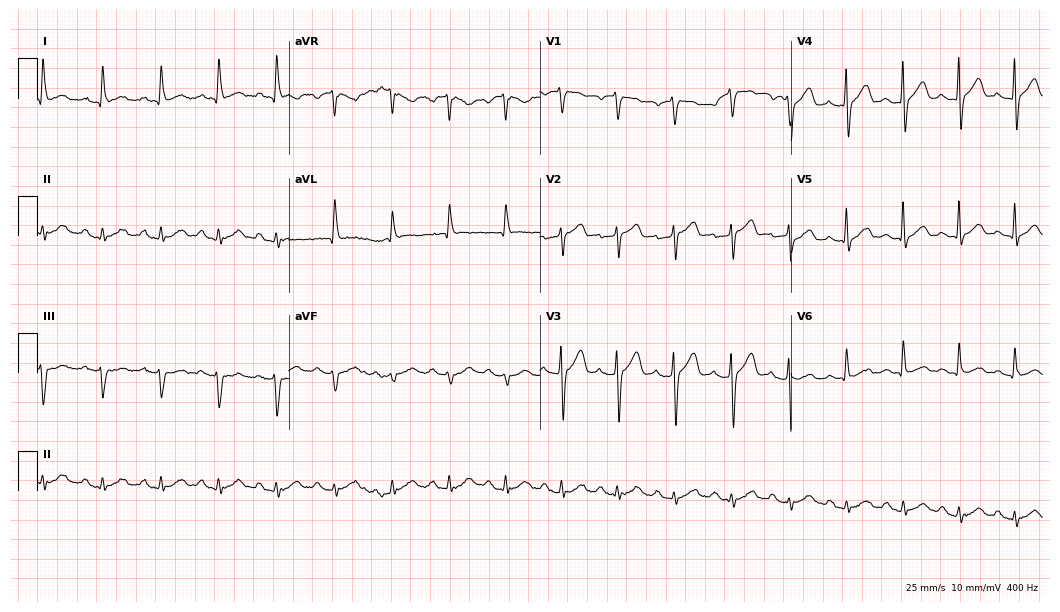
Electrocardiogram, a male, 53 years old. Of the six screened findings (first-degree AV block, right bundle branch block, left bundle branch block, sinus bradycardia, atrial fibrillation, sinus tachycardia), none is recorded.